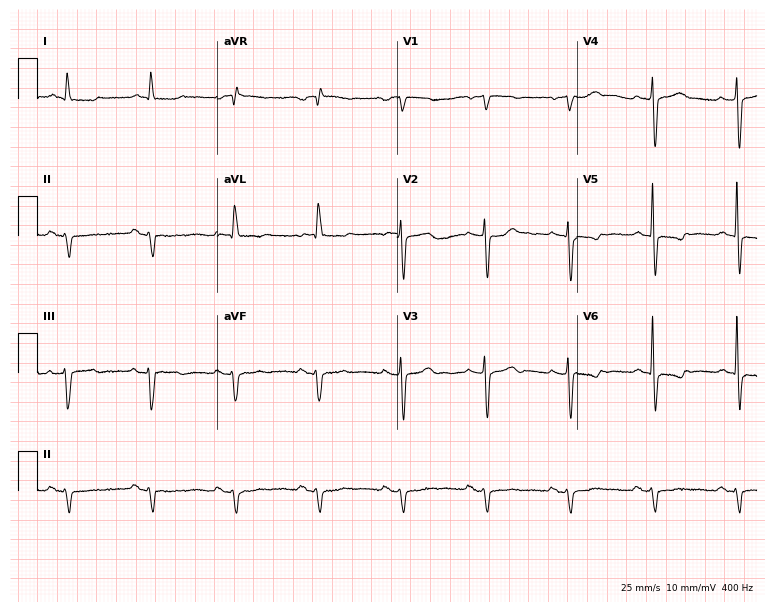
12-lead ECG from a male patient, 81 years old (7.3-second recording at 400 Hz). No first-degree AV block, right bundle branch block (RBBB), left bundle branch block (LBBB), sinus bradycardia, atrial fibrillation (AF) or sinus tachycardia recorded for this tracing. Findings outside these six are not listed.